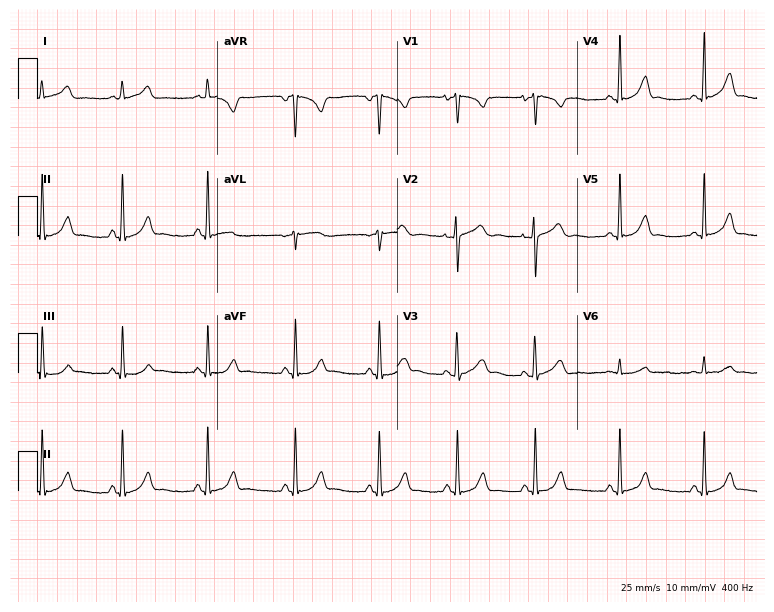
12-lead ECG from a female, 27 years old (7.3-second recording at 400 Hz). Recorded interpretation: within normal limits.